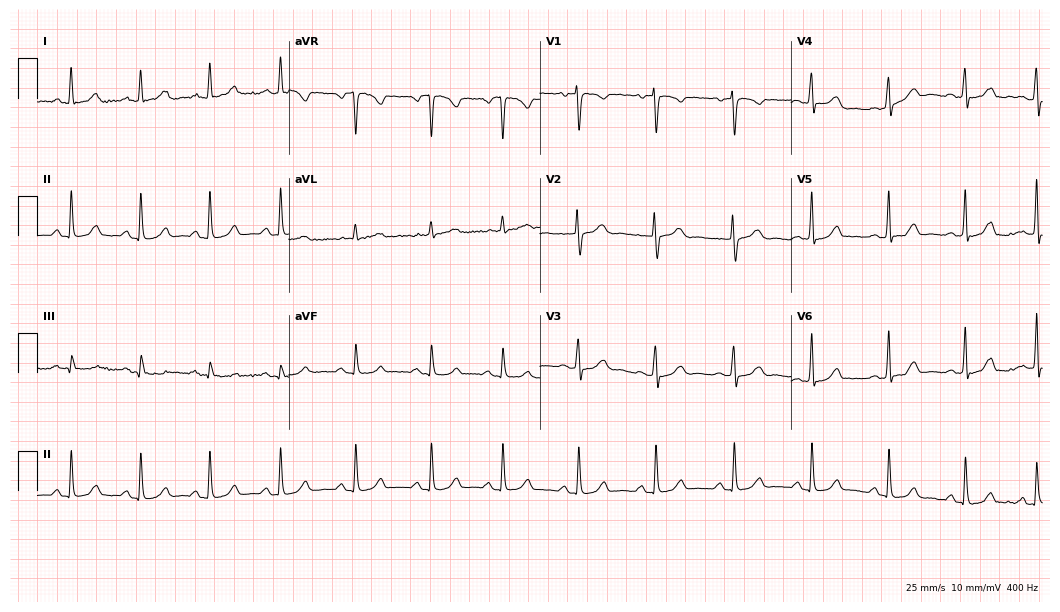
Resting 12-lead electrocardiogram. Patient: a 40-year-old female. Read as a normal ECG.